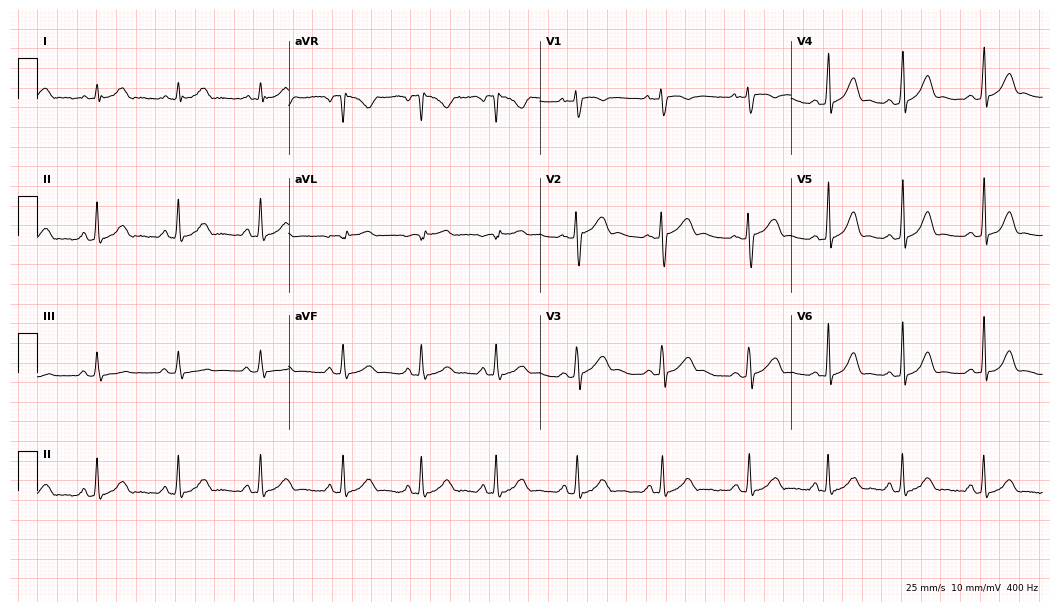
ECG (10.2-second recording at 400 Hz) — a female patient, 23 years old. Labelled as a normal ECG.